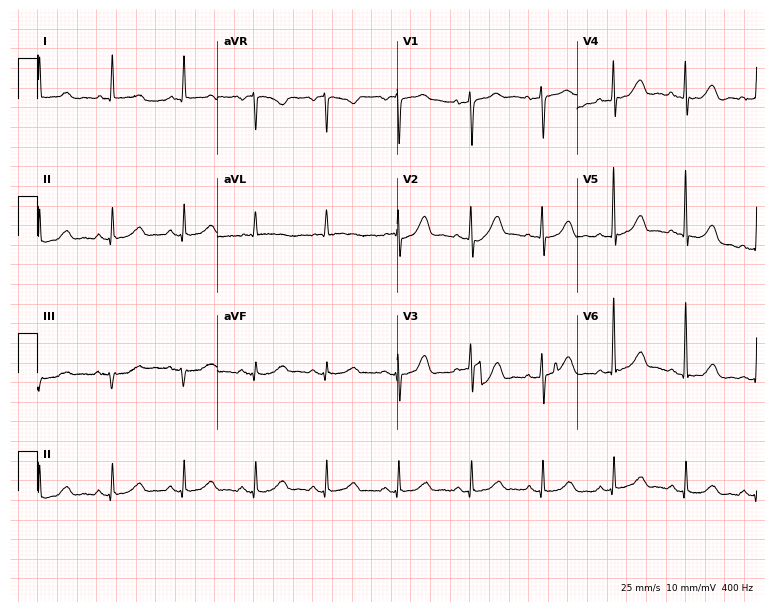
Electrocardiogram, a woman, 74 years old. Overall reading on record: normal ECG.